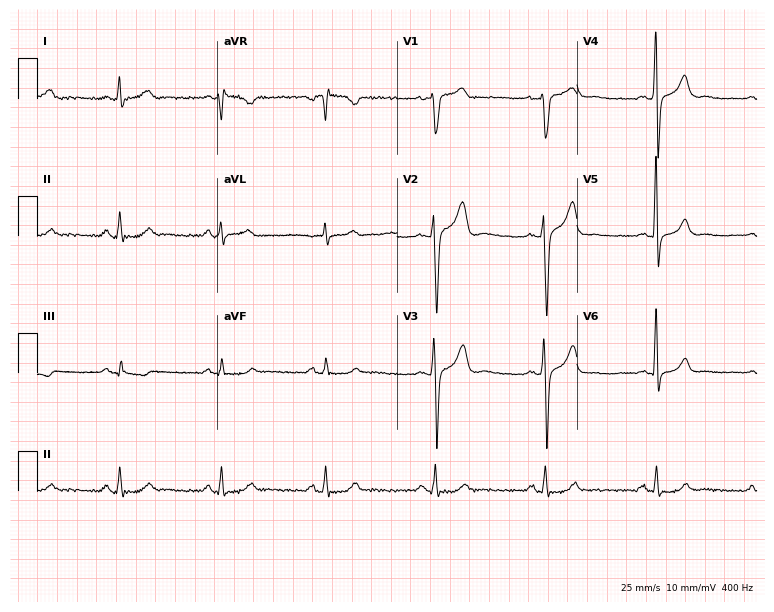
12-lead ECG from a male, 47 years old. Recorded interpretation: within normal limits.